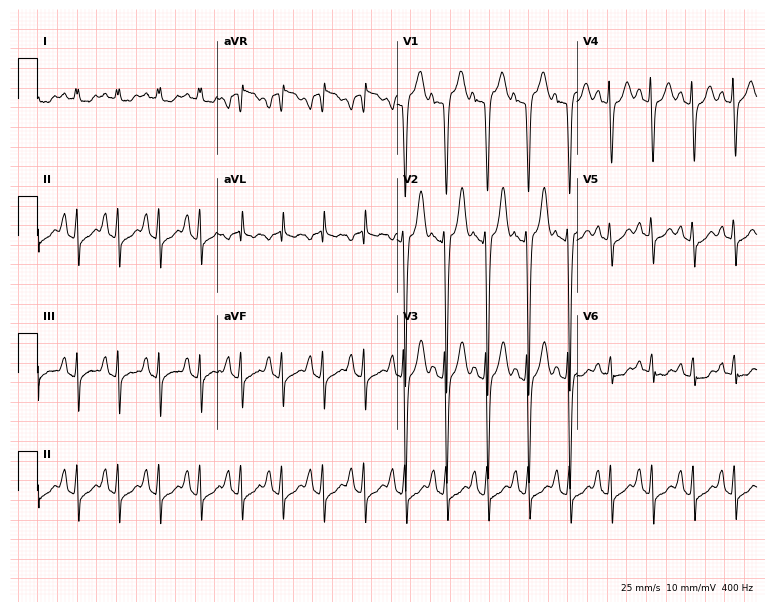
ECG — a 17-year-old male patient. Findings include sinus tachycardia (a sinus rate of 100 beats per minute or more).